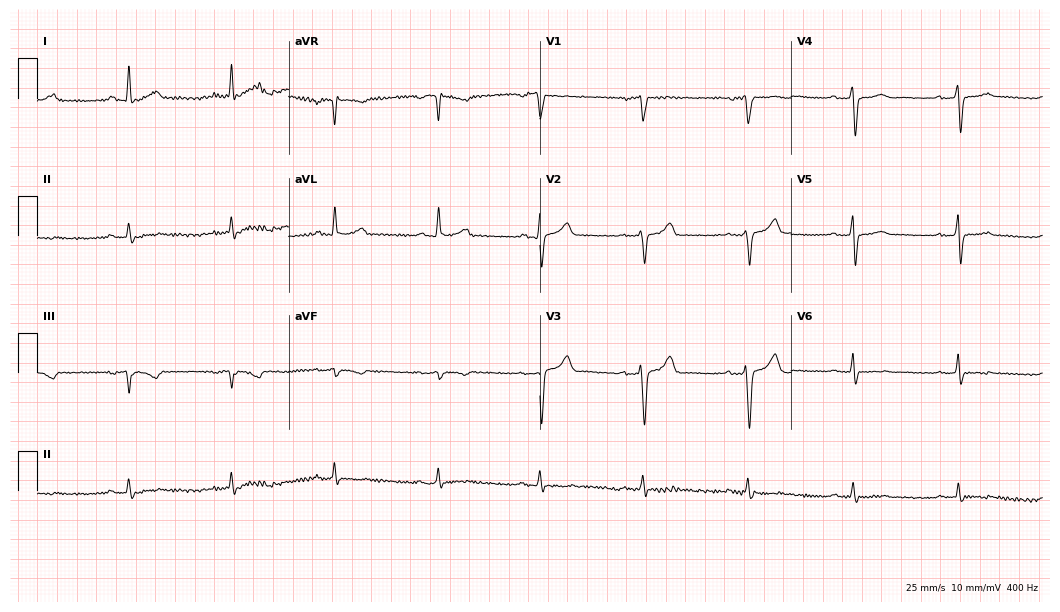
12-lead ECG from a male patient, 56 years old. Screened for six findings — first-degree AV block, right bundle branch block, left bundle branch block, sinus bradycardia, atrial fibrillation, sinus tachycardia — none is recorded. Only these six findings were labelled.